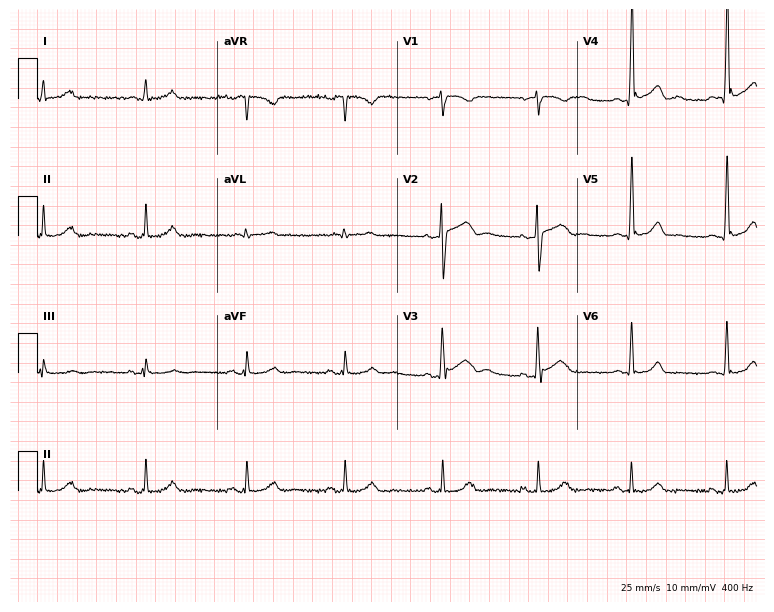
Resting 12-lead electrocardiogram (7.3-second recording at 400 Hz). Patient: a 45-year-old male. None of these six findings is recorded: first-degree AV block, right bundle branch block (RBBB), left bundle branch block (LBBB), sinus bradycardia, atrial fibrillation (AF), sinus tachycardia.